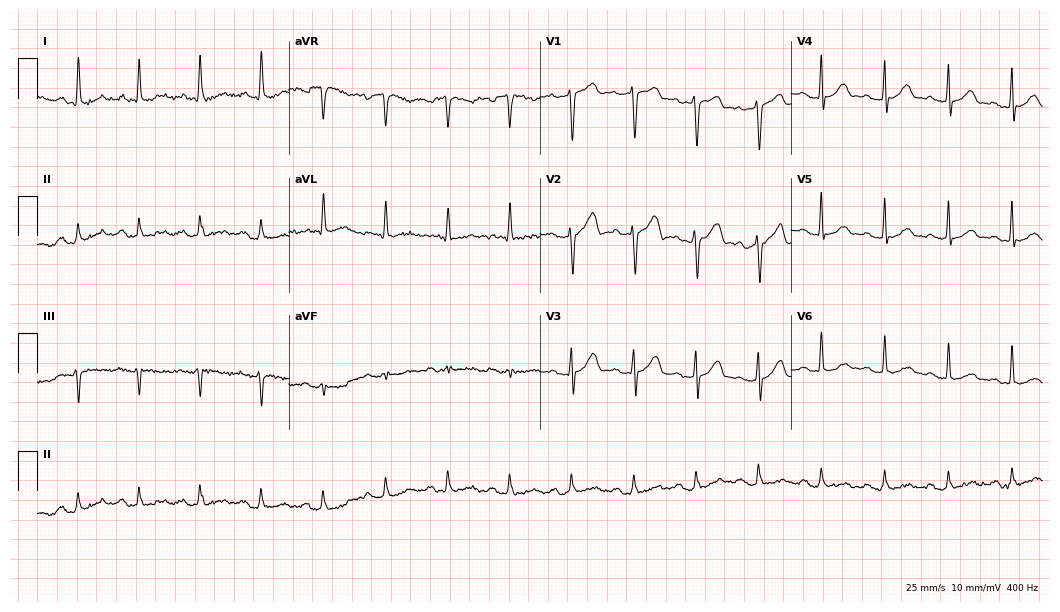
Standard 12-lead ECG recorded from a male patient, 62 years old (10.2-second recording at 400 Hz). Read as a normal ECG.